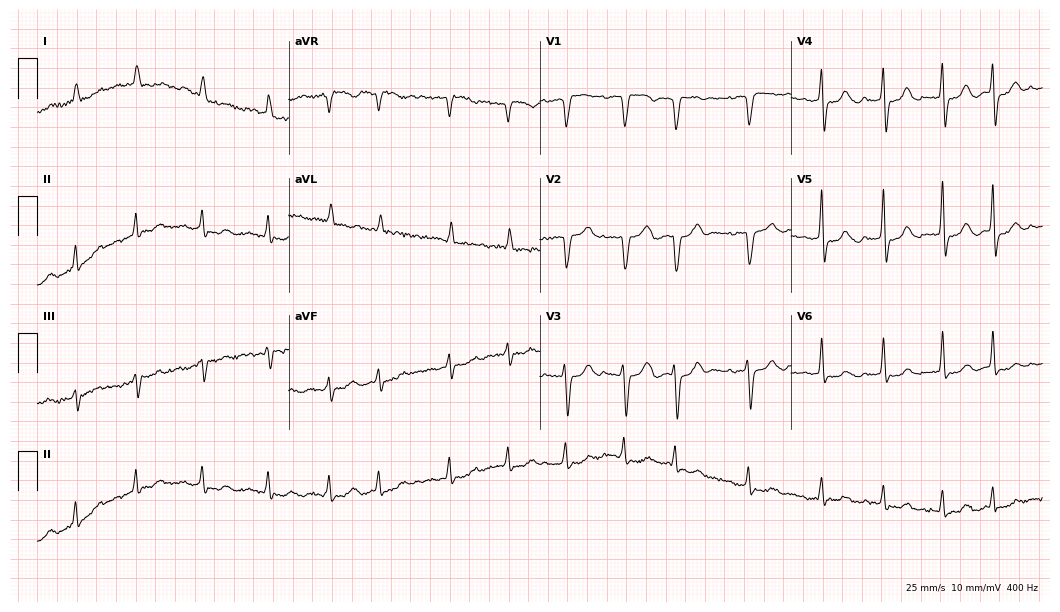
12-lead ECG from a female, 80 years old. No first-degree AV block, right bundle branch block, left bundle branch block, sinus bradycardia, atrial fibrillation or sinus tachycardia recorded for this tracing.